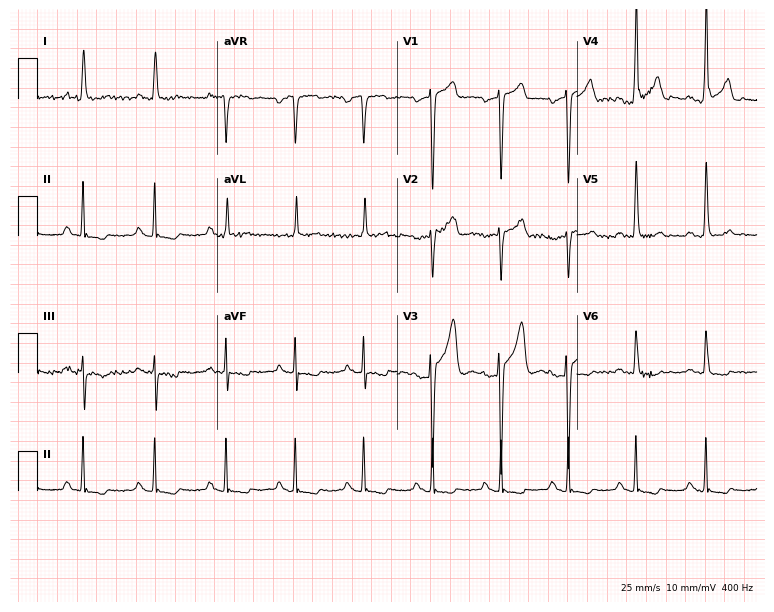
12-lead ECG from a man, 63 years old. Screened for six findings — first-degree AV block, right bundle branch block (RBBB), left bundle branch block (LBBB), sinus bradycardia, atrial fibrillation (AF), sinus tachycardia — none is recorded.